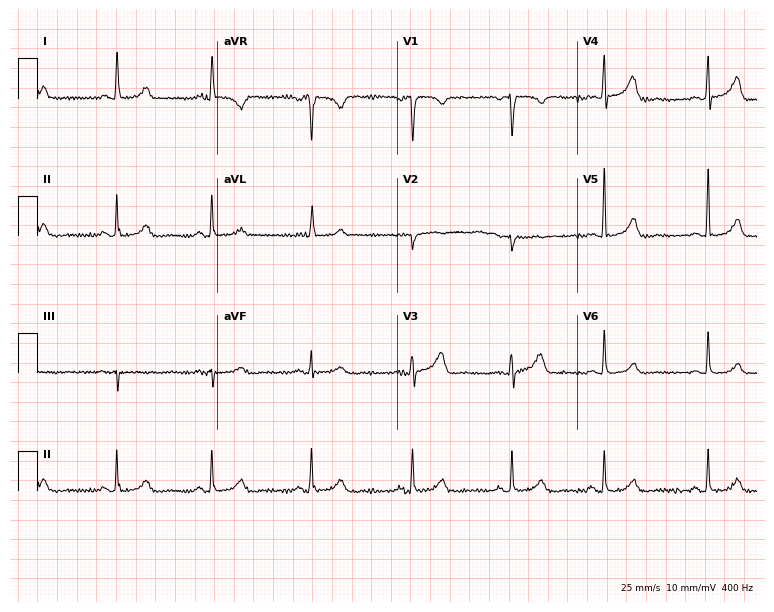
12-lead ECG (7.3-second recording at 400 Hz) from a 66-year-old woman. Labelled as a normal ECG.